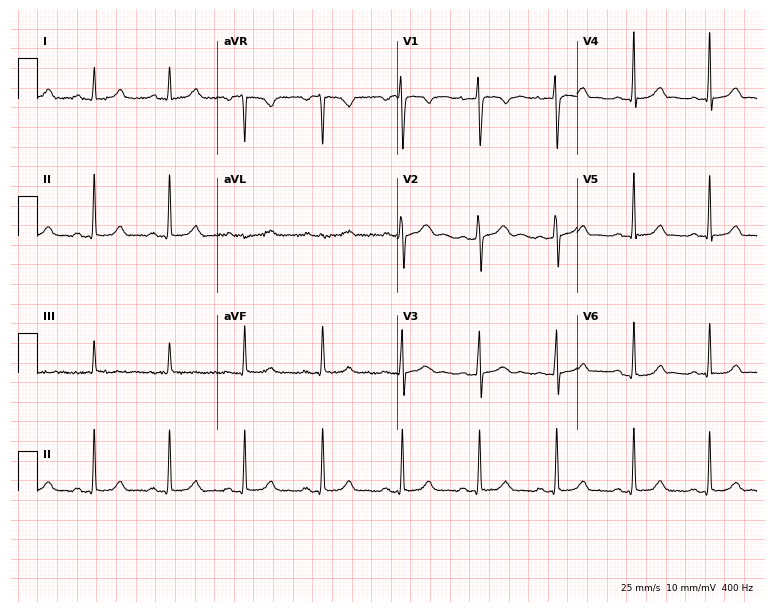
Standard 12-lead ECG recorded from a woman, 22 years old (7.3-second recording at 400 Hz). None of these six findings is recorded: first-degree AV block, right bundle branch block, left bundle branch block, sinus bradycardia, atrial fibrillation, sinus tachycardia.